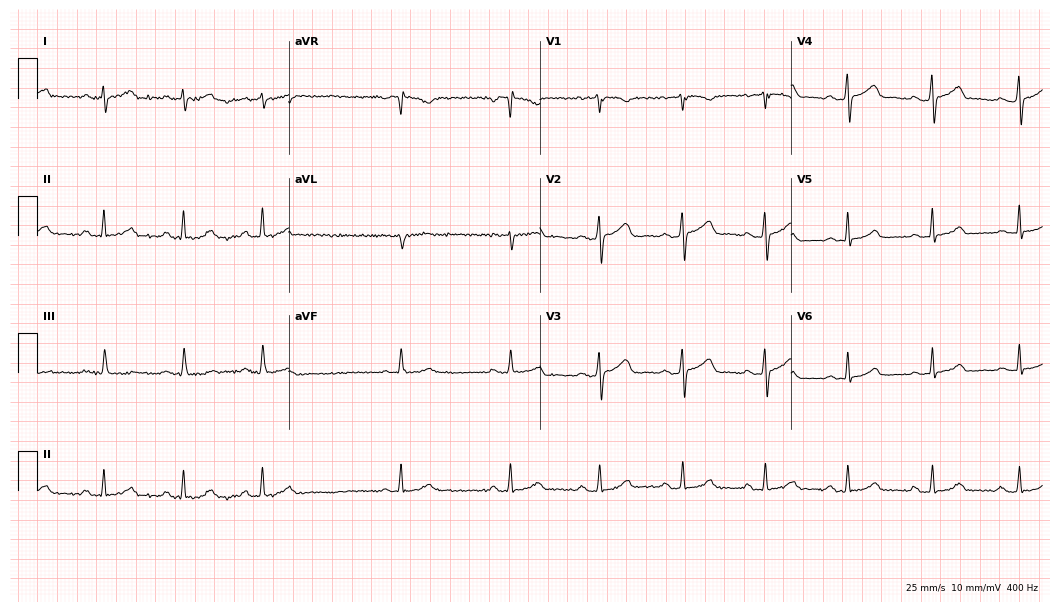
12-lead ECG from a 28-year-old male patient. Labelled as a normal ECG.